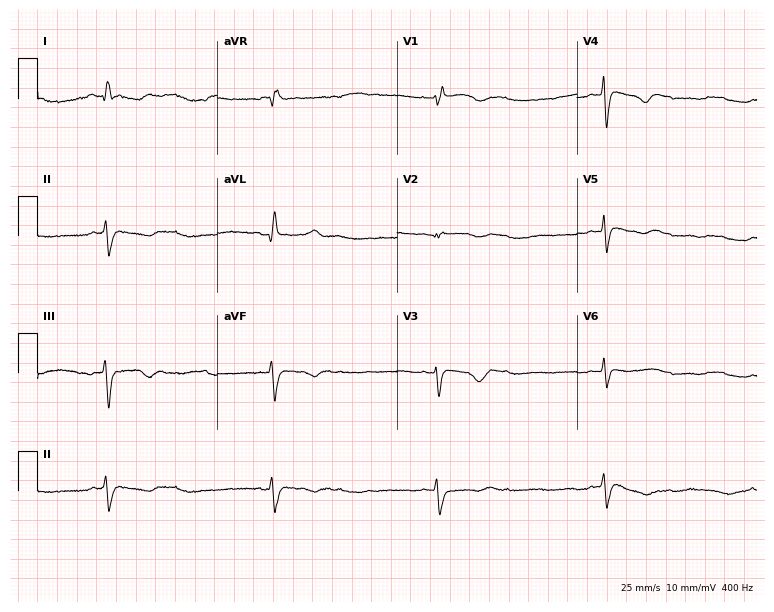
Electrocardiogram (7.3-second recording at 400 Hz), a 42-year-old female. Interpretation includes right bundle branch block.